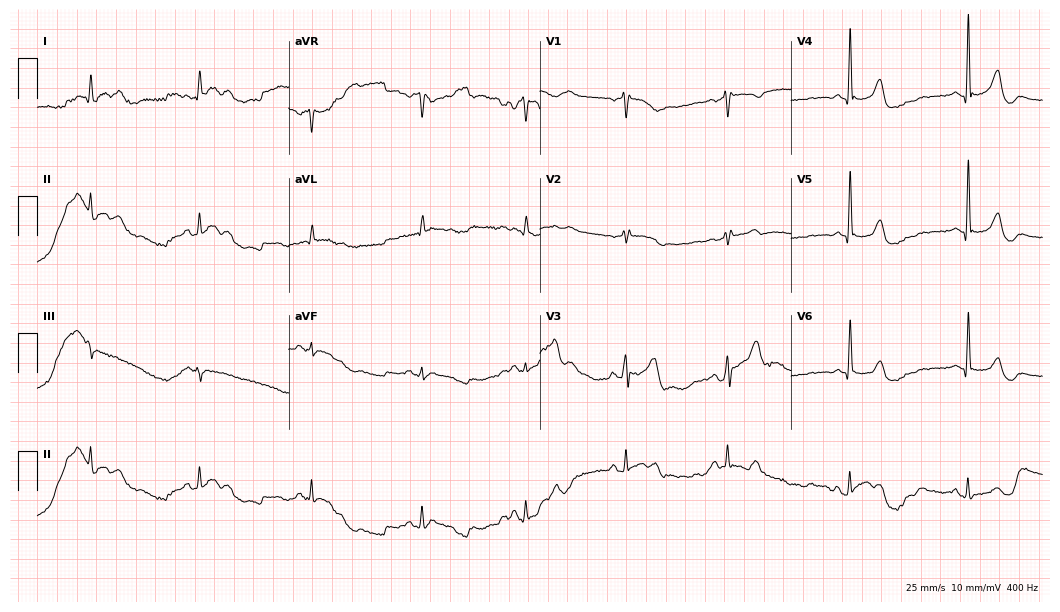
Resting 12-lead electrocardiogram. Patient: a male, 53 years old. None of these six findings is recorded: first-degree AV block, right bundle branch block, left bundle branch block, sinus bradycardia, atrial fibrillation, sinus tachycardia. Findings outside these six are not listed.